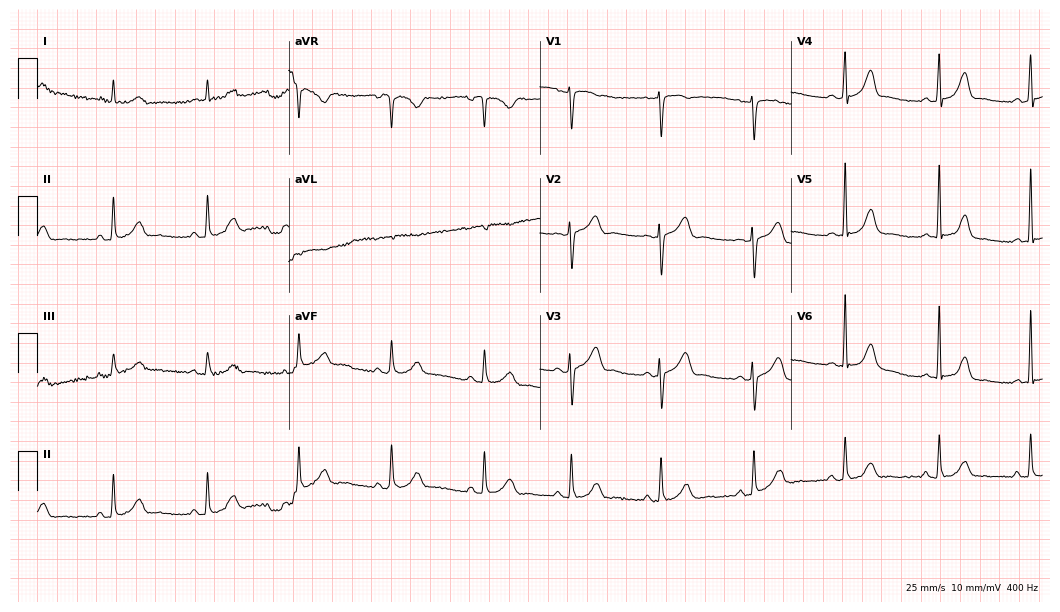
ECG — a woman, 60 years old. Labelled as a normal ECG.